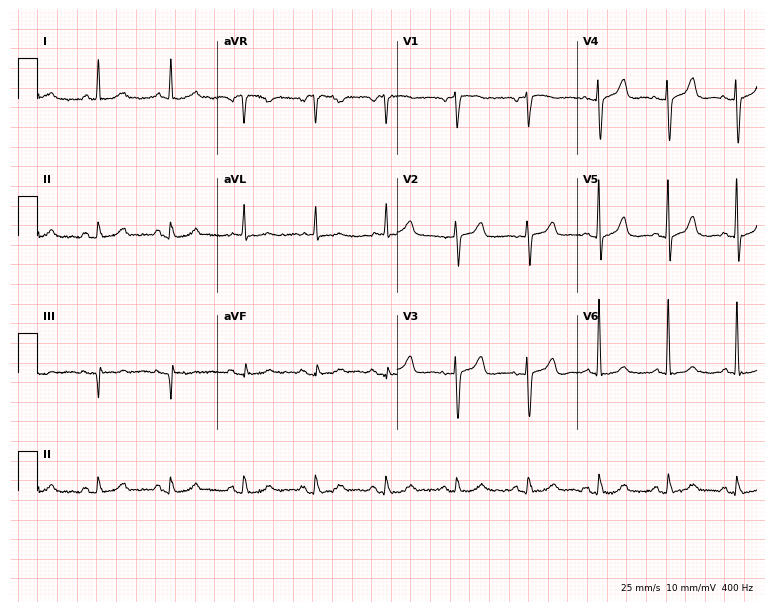
Standard 12-lead ECG recorded from a female, 85 years old (7.3-second recording at 400 Hz). Read as a normal ECG.